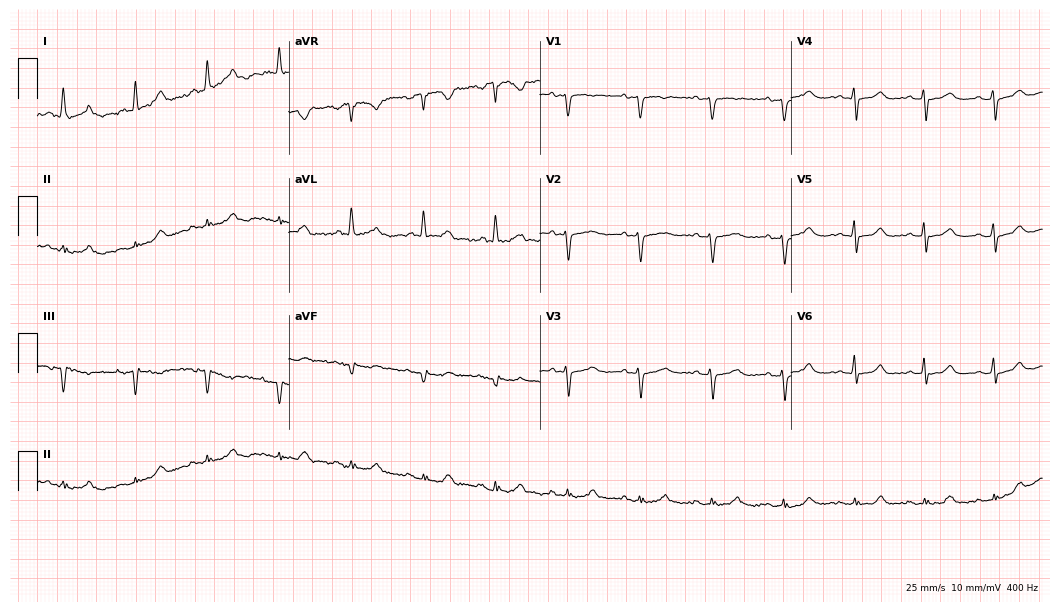
ECG — a 77-year-old female. Labelled as a normal ECG.